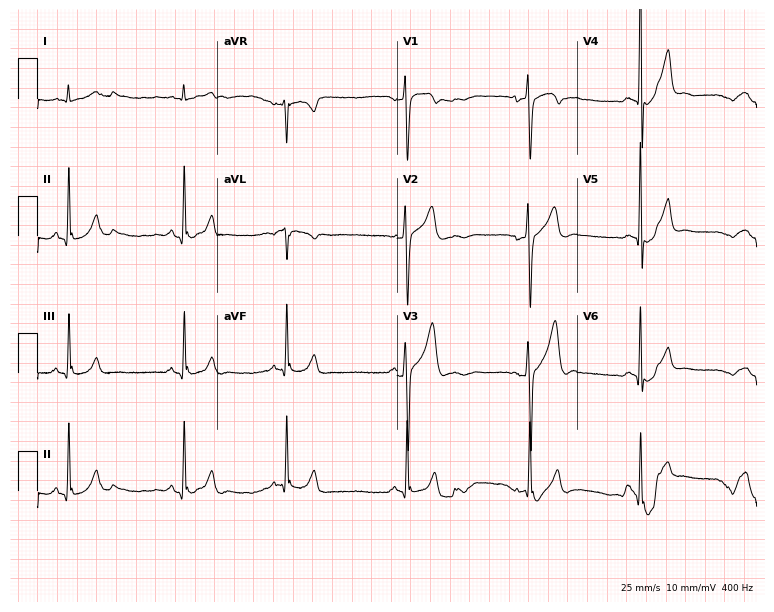
Standard 12-lead ECG recorded from a 23-year-old man. Read as a normal ECG.